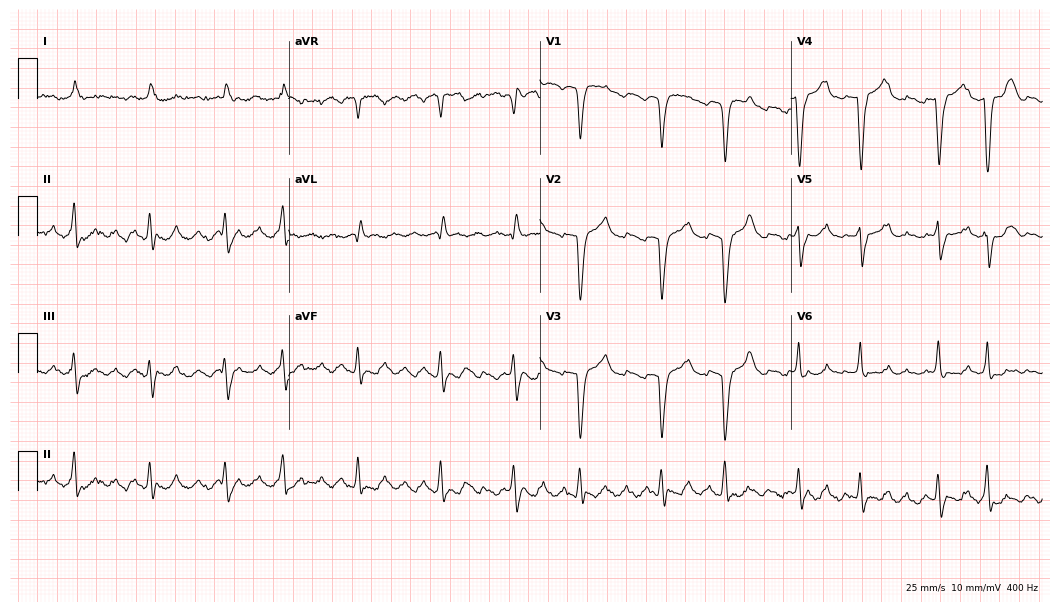
ECG (10.2-second recording at 400 Hz) — a woman, 84 years old. Screened for six findings — first-degree AV block, right bundle branch block, left bundle branch block, sinus bradycardia, atrial fibrillation, sinus tachycardia — none is recorded.